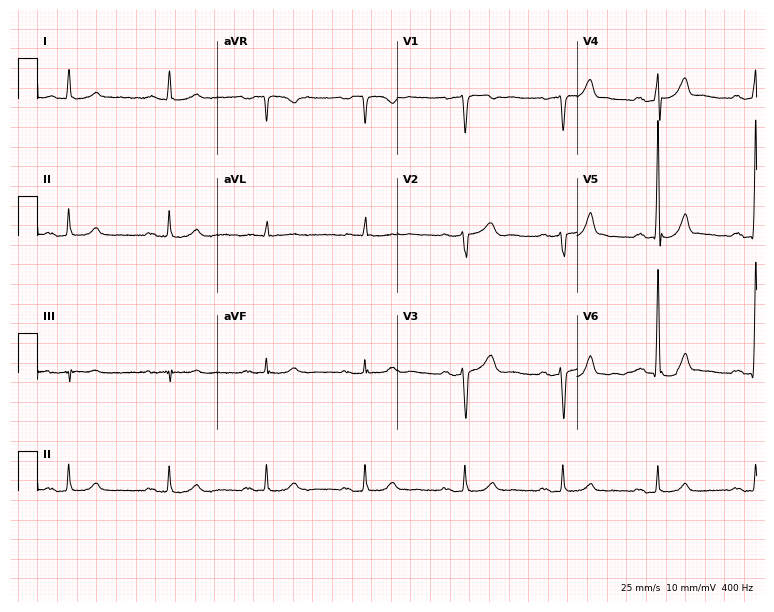
12-lead ECG from an 84-year-old male patient (7.3-second recording at 400 Hz). No first-degree AV block, right bundle branch block, left bundle branch block, sinus bradycardia, atrial fibrillation or sinus tachycardia recorded for this tracing. Findings outside these six are not listed.